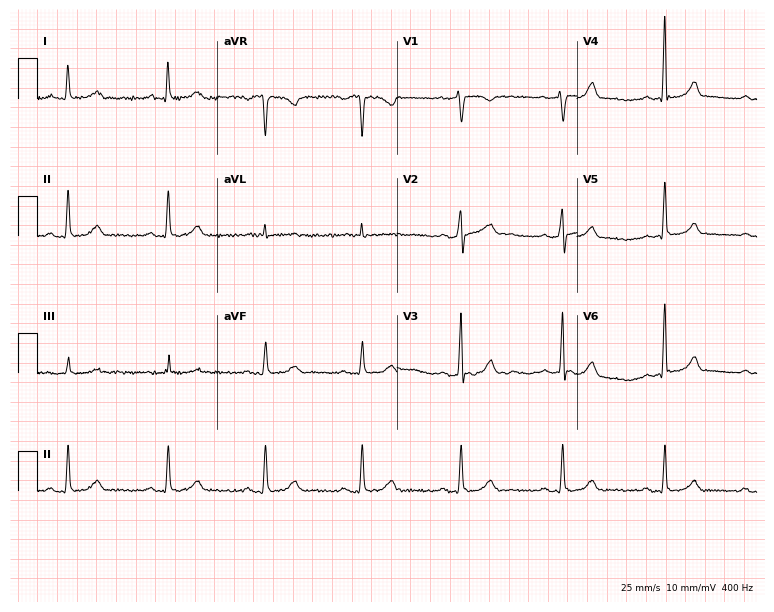
12-lead ECG from a woman, 44 years old. Labelled as a normal ECG.